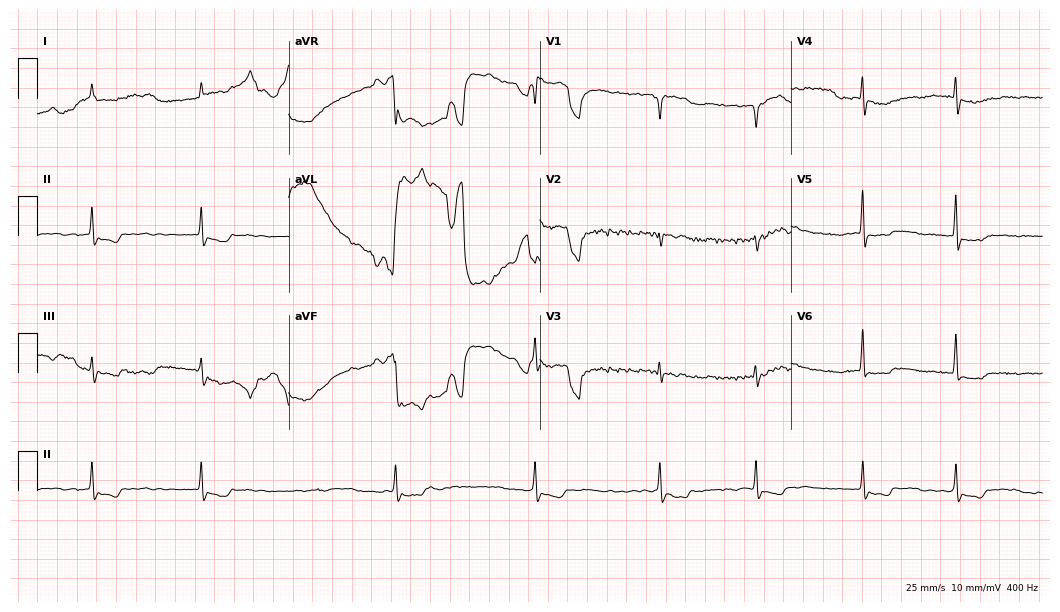
12-lead ECG from an 84-year-old man. No first-degree AV block, right bundle branch block (RBBB), left bundle branch block (LBBB), sinus bradycardia, atrial fibrillation (AF) or sinus tachycardia recorded for this tracing. Only these six findings were labelled.